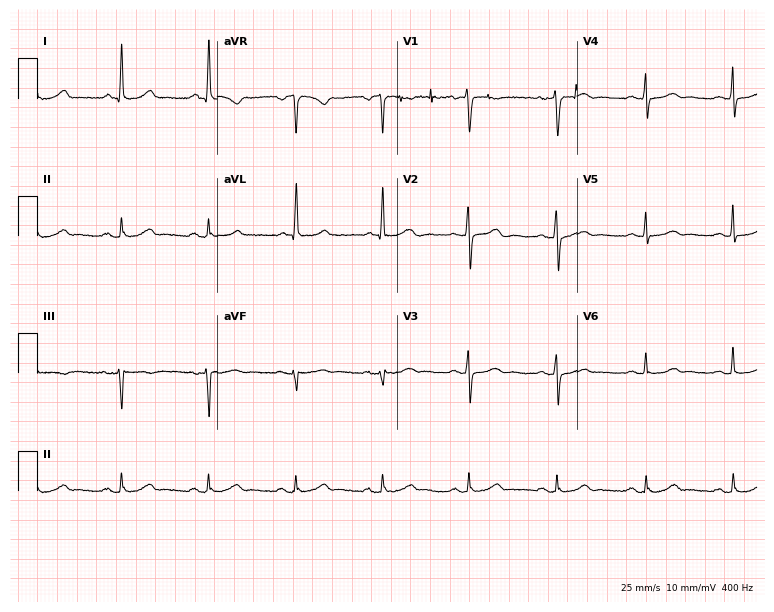
Electrocardiogram (7.3-second recording at 400 Hz), a woman, 69 years old. Of the six screened findings (first-degree AV block, right bundle branch block (RBBB), left bundle branch block (LBBB), sinus bradycardia, atrial fibrillation (AF), sinus tachycardia), none is recorded. Findings outside these six are not listed.